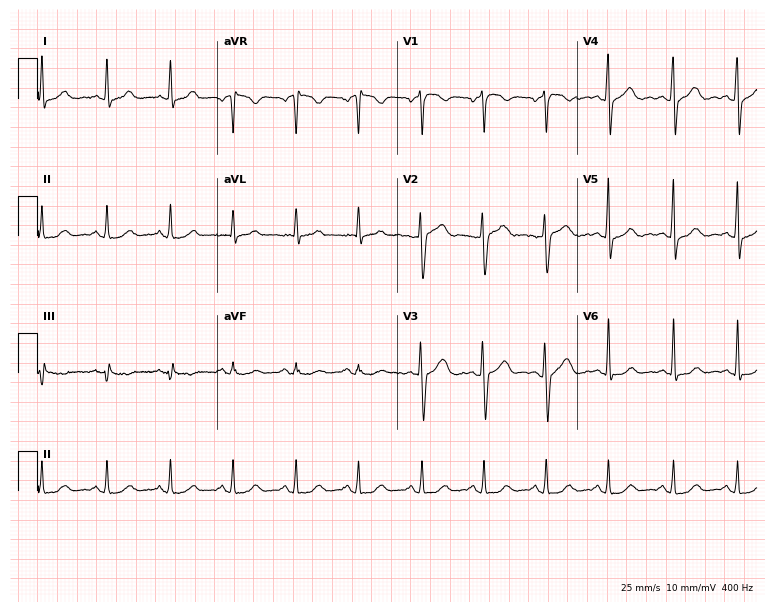
12-lead ECG from a man, 35 years old. Recorded interpretation: within normal limits.